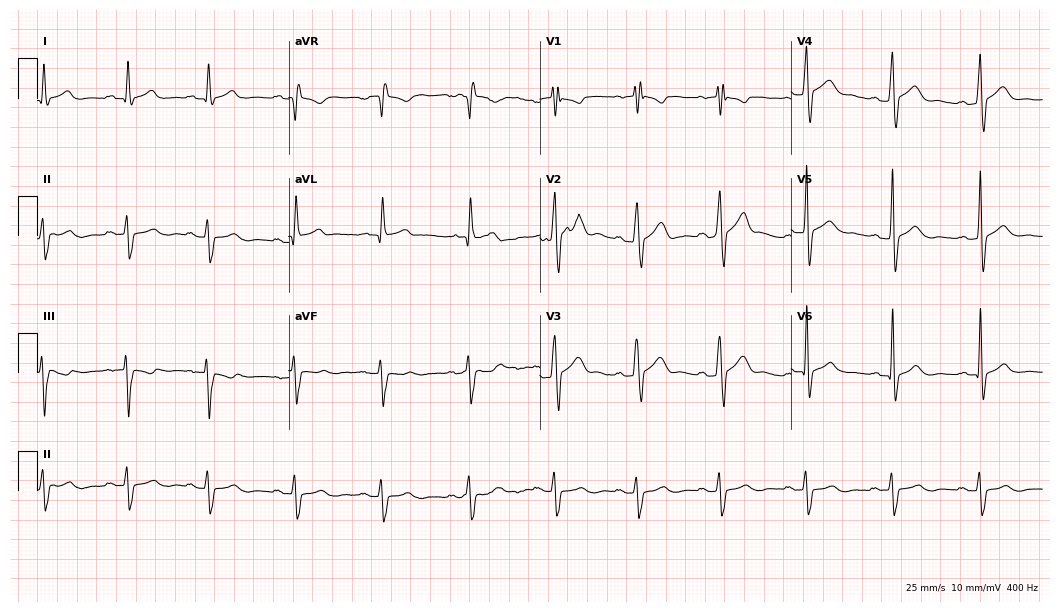
Resting 12-lead electrocardiogram (10.2-second recording at 400 Hz). Patient: a male, 29 years old. None of these six findings is recorded: first-degree AV block, right bundle branch block, left bundle branch block, sinus bradycardia, atrial fibrillation, sinus tachycardia. Only these six findings were labelled.